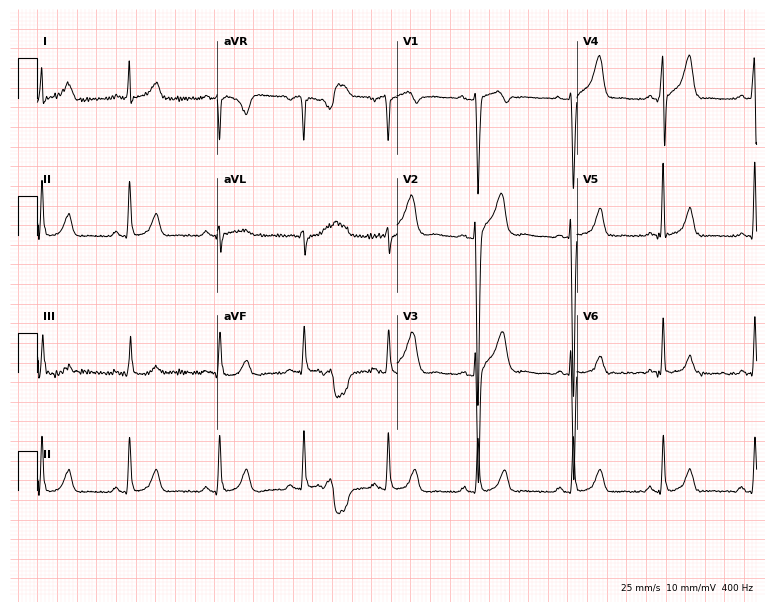
ECG (7.3-second recording at 400 Hz) — a 28-year-old man. Labelled as a normal ECG.